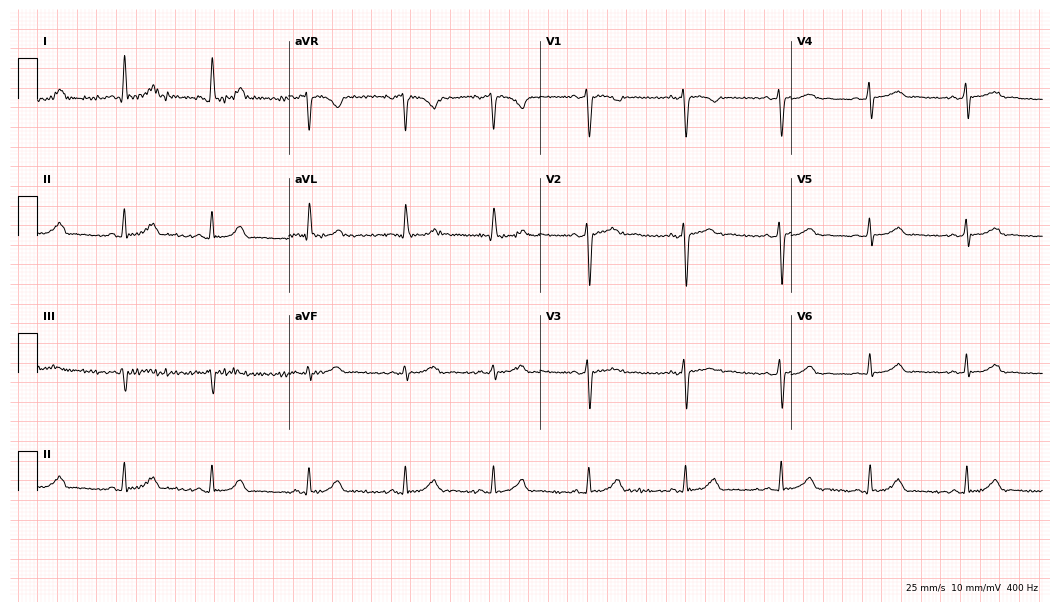
ECG (10.2-second recording at 400 Hz) — a 31-year-old female patient. Labelled as a normal ECG.